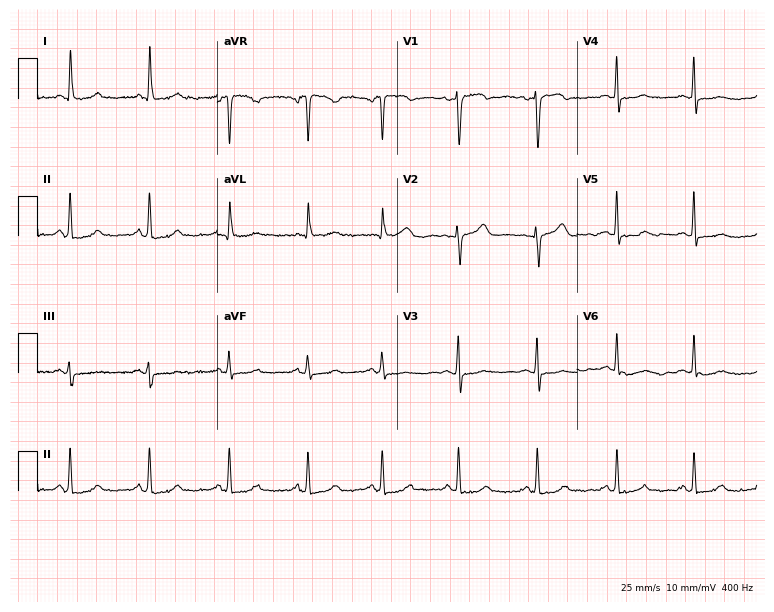
12-lead ECG from a woman, 49 years old (7.3-second recording at 400 Hz). Recorded interpretation: within normal limits.